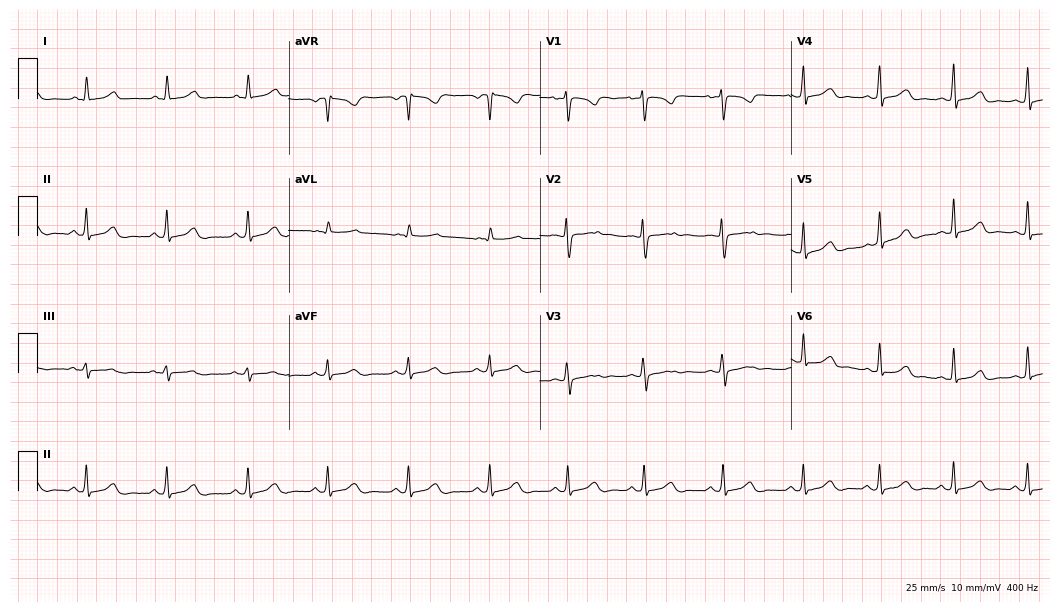
12-lead ECG from a female, 19 years old. Recorded interpretation: within normal limits.